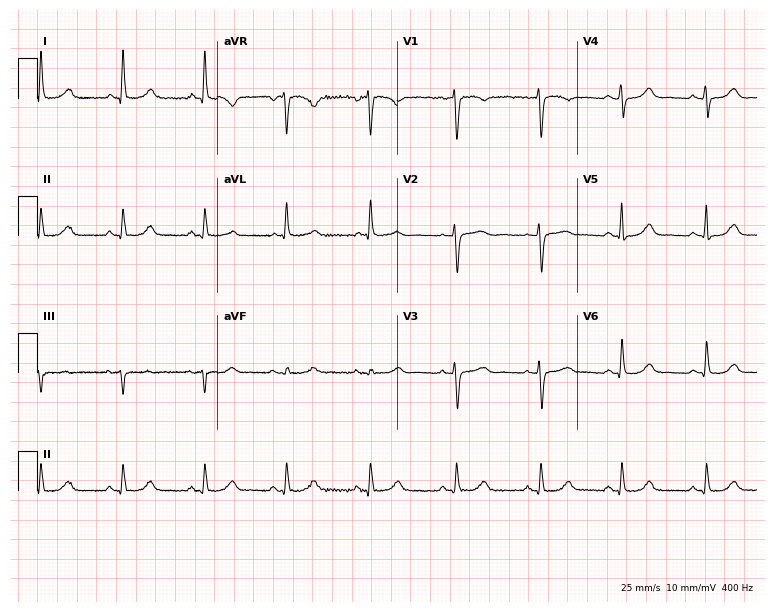
Standard 12-lead ECG recorded from a female patient, 57 years old (7.3-second recording at 400 Hz). Read as a normal ECG.